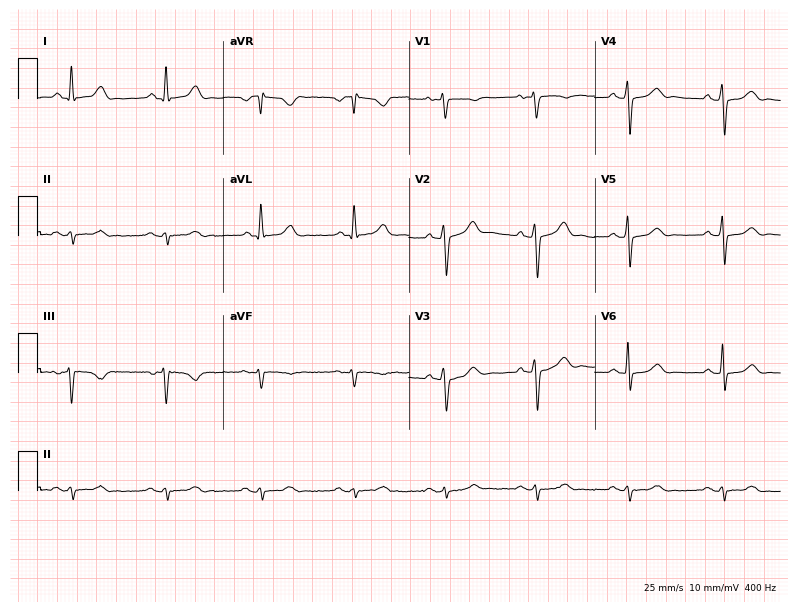
ECG — a 74-year-old male. Screened for six findings — first-degree AV block, right bundle branch block, left bundle branch block, sinus bradycardia, atrial fibrillation, sinus tachycardia — none is recorded. Only these six findings were labelled.